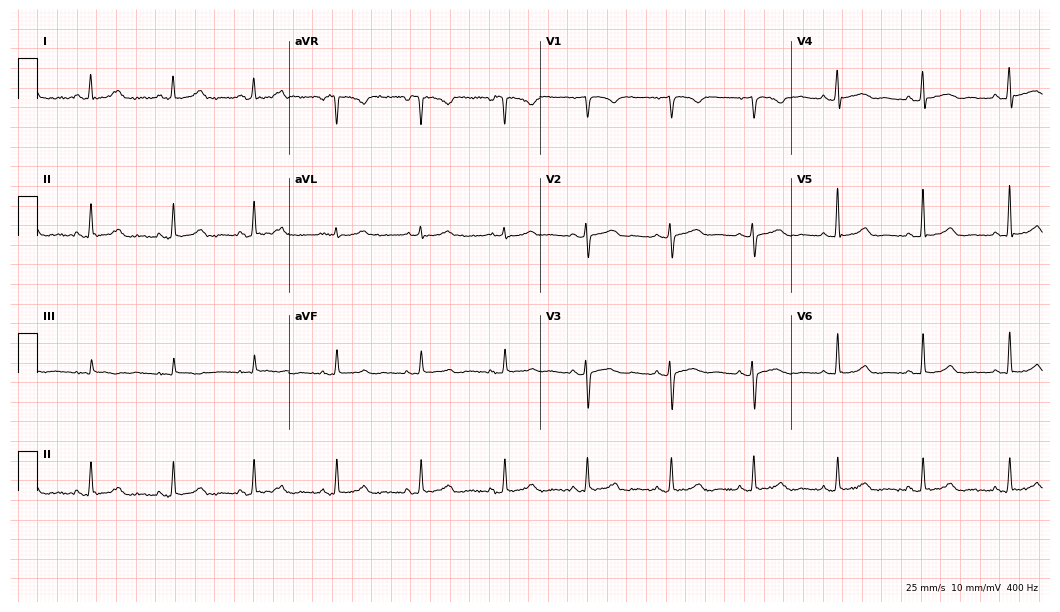
12-lead ECG from a 49-year-old female patient (10.2-second recording at 400 Hz). Recorded interpretation: within normal limits.